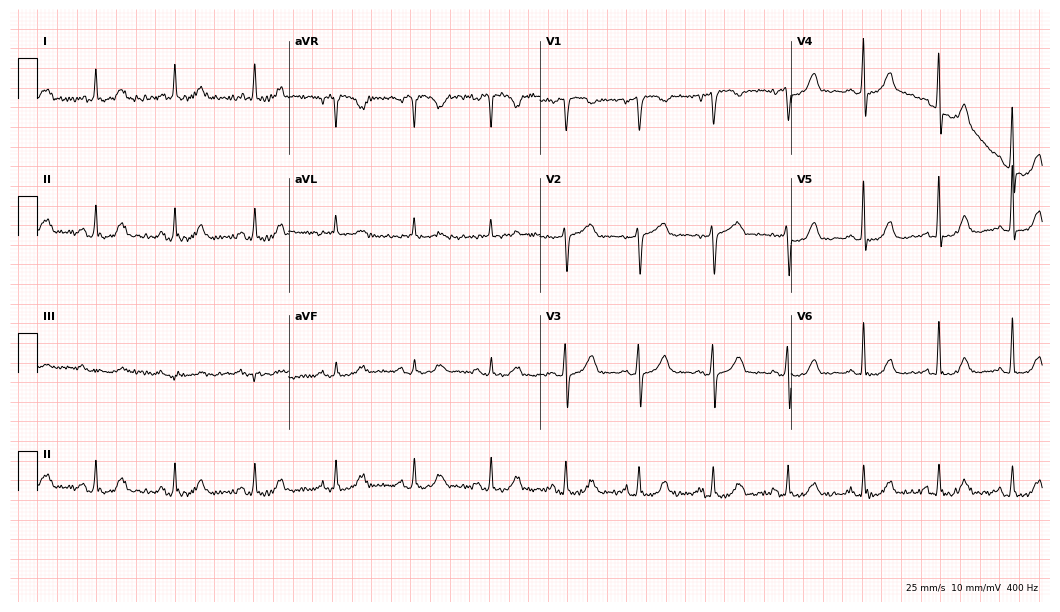
ECG (10.2-second recording at 400 Hz) — a female patient, 68 years old. Labelled as a normal ECG.